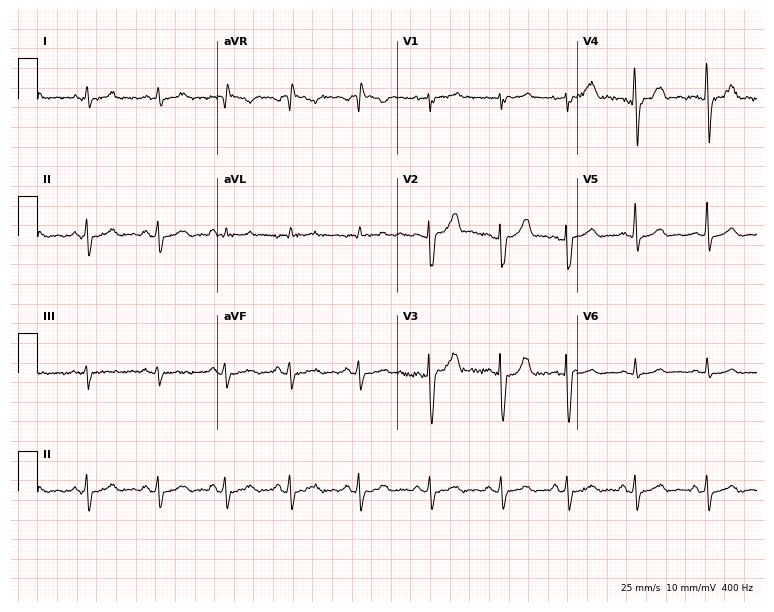
12-lead ECG from a 28-year-old male. Recorded interpretation: within normal limits.